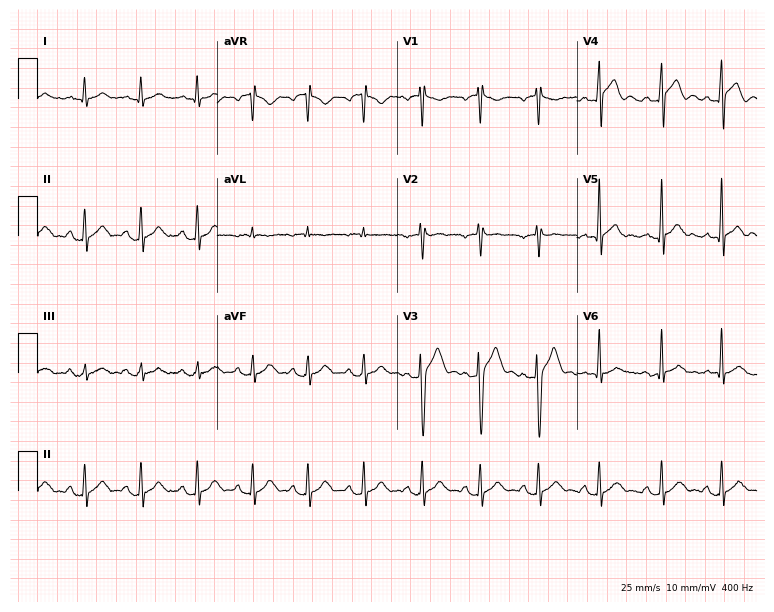
Standard 12-lead ECG recorded from a 19-year-old male. Read as a normal ECG.